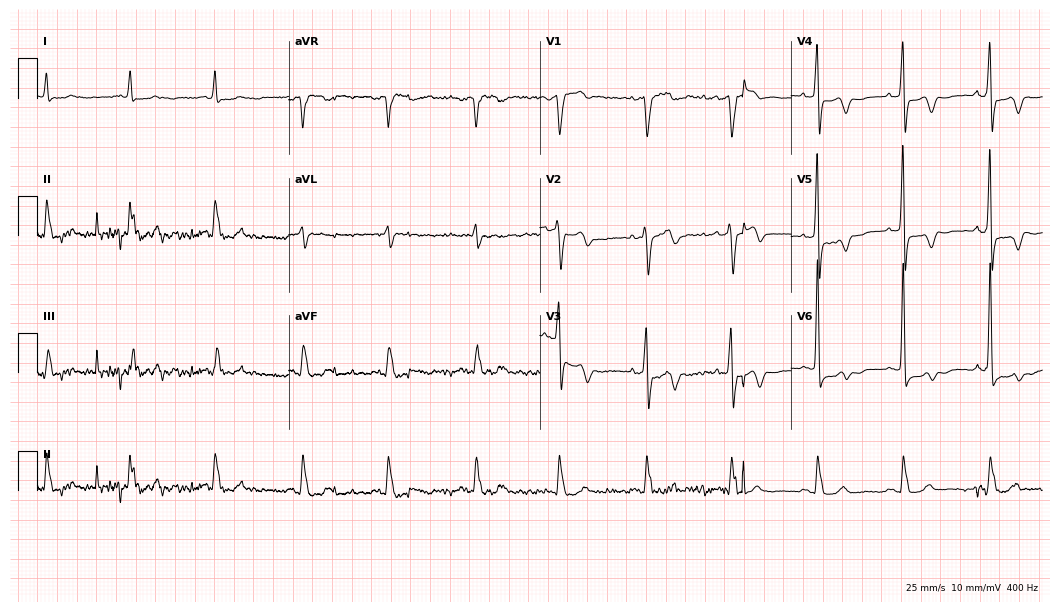
ECG (10.2-second recording at 400 Hz) — a male patient, 67 years old. Screened for six findings — first-degree AV block, right bundle branch block, left bundle branch block, sinus bradycardia, atrial fibrillation, sinus tachycardia — none is recorded. Other findings, if any, are not listed.